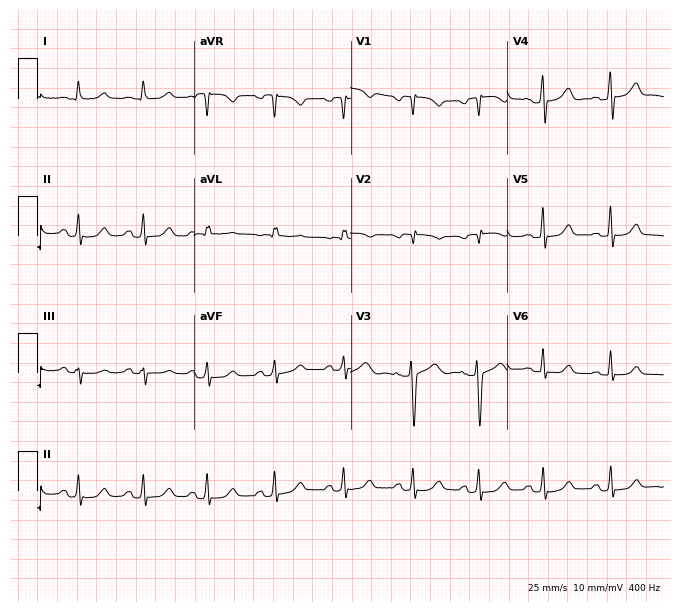
ECG — a female patient, 55 years old. Screened for six findings — first-degree AV block, right bundle branch block, left bundle branch block, sinus bradycardia, atrial fibrillation, sinus tachycardia — none is recorded.